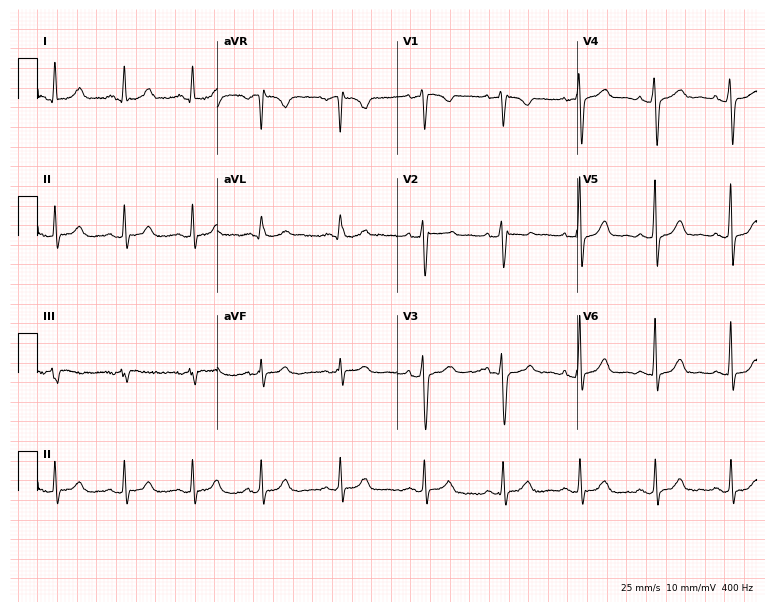
Standard 12-lead ECG recorded from a female patient, 44 years old. None of these six findings is recorded: first-degree AV block, right bundle branch block, left bundle branch block, sinus bradycardia, atrial fibrillation, sinus tachycardia. Only these six findings were labelled.